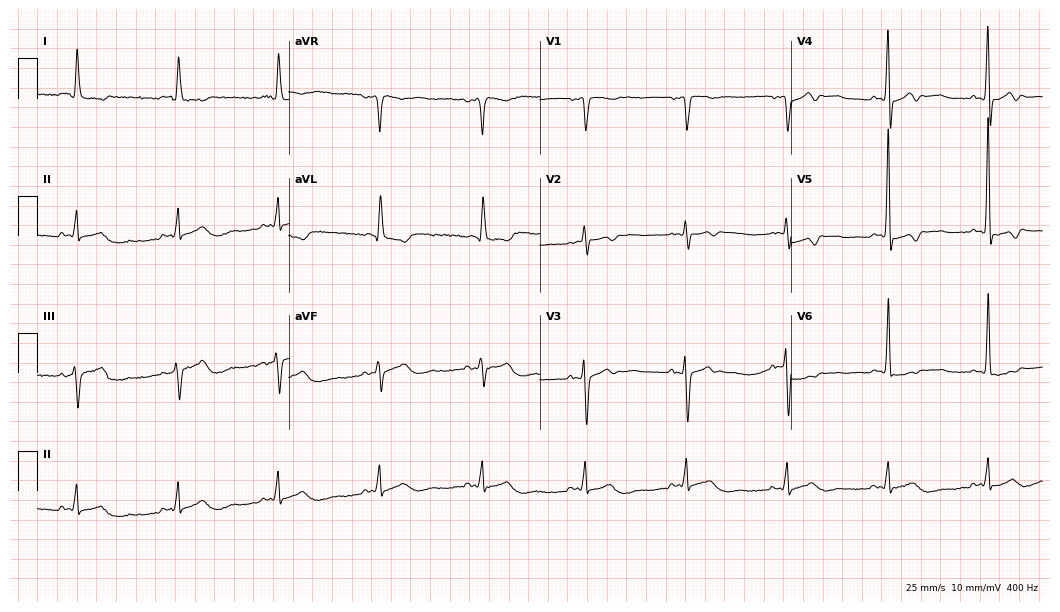
Resting 12-lead electrocardiogram. Patient: an 86-year-old female. None of these six findings is recorded: first-degree AV block, right bundle branch block (RBBB), left bundle branch block (LBBB), sinus bradycardia, atrial fibrillation (AF), sinus tachycardia. Other findings, if any, are not listed.